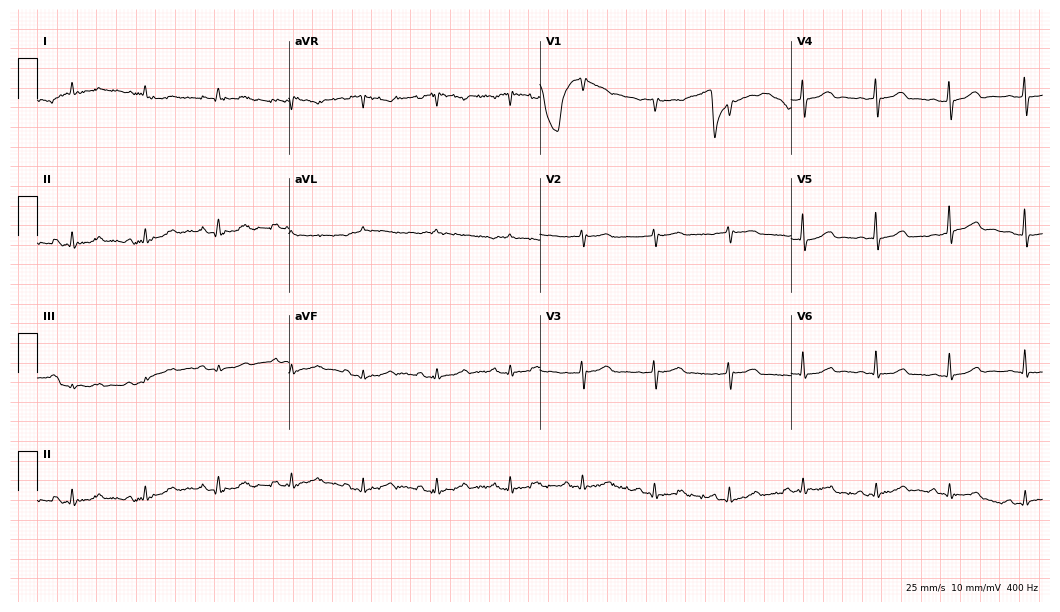
ECG — a 78-year-old man. Findings include atrial fibrillation (AF).